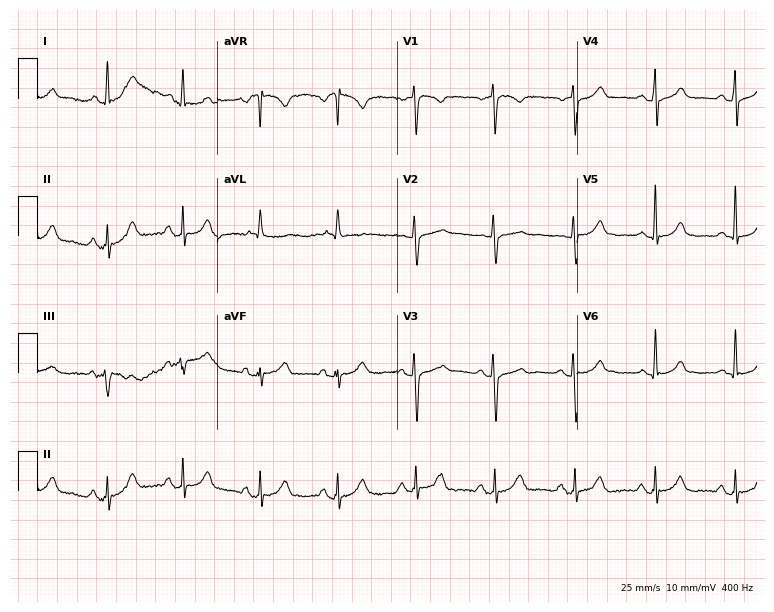
12-lead ECG from a female patient, 65 years old (7.3-second recording at 400 Hz). Recorded interpretation: within normal limits.